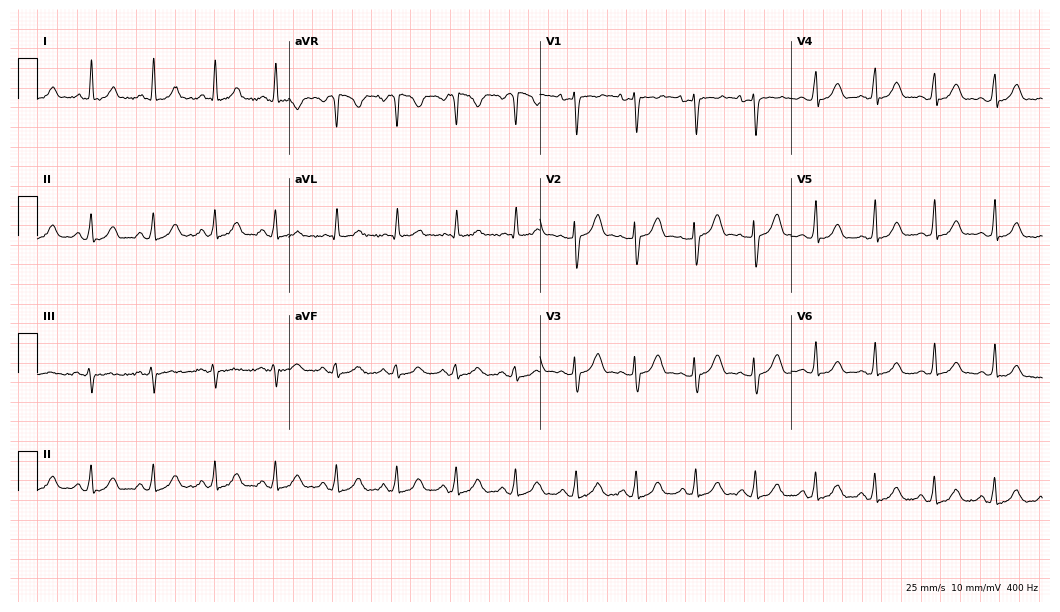
ECG (10.2-second recording at 400 Hz) — a 33-year-old woman. Labelled as a normal ECG.